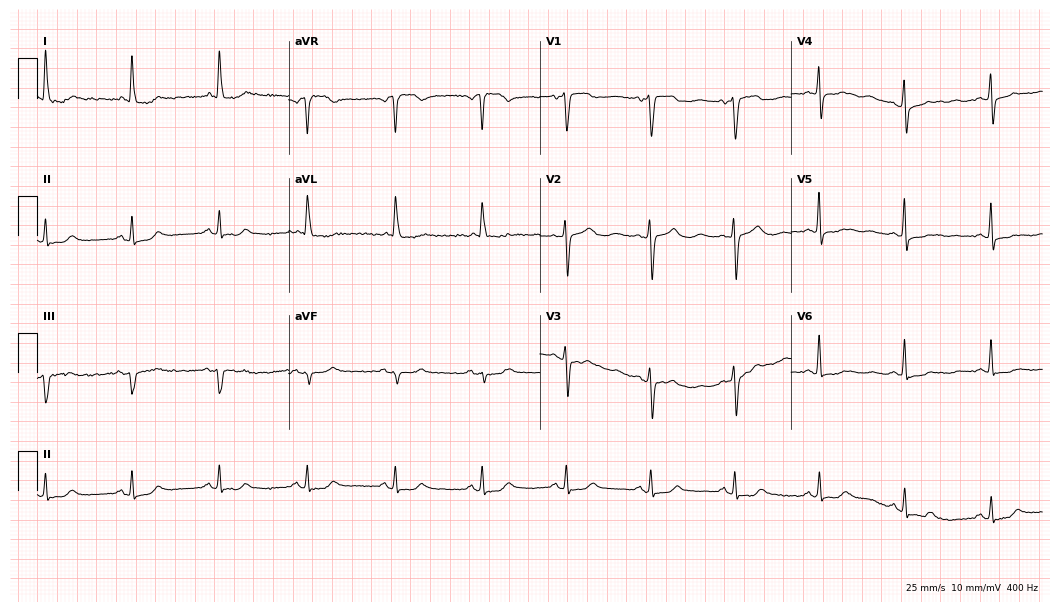
Electrocardiogram, a female patient, 74 years old. Overall reading on record: normal ECG.